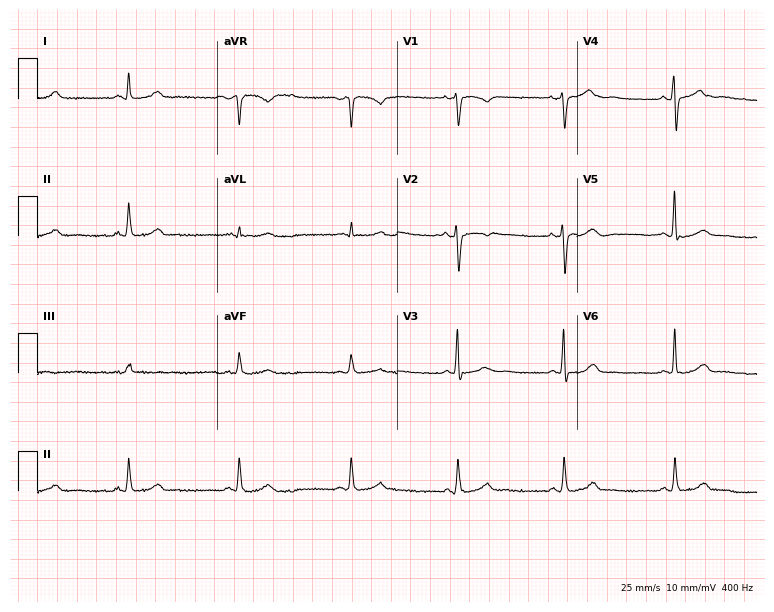
Electrocardiogram (7.3-second recording at 400 Hz), a 23-year-old female patient. Overall reading on record: normal ECG.